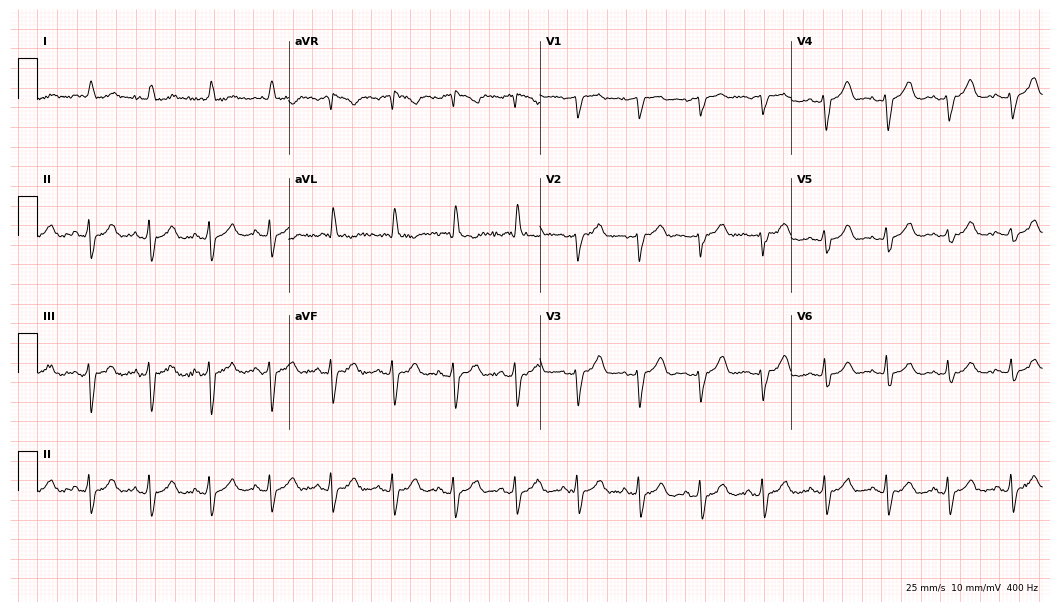
12-lead ECG from an 83-year-old female. Screened for six findings — first-degree AV block, right bundle branch block (RBBB), left bundle branch block (LBBB), sinus bradycardia, atrial fibrillation (AF), sinus tachycardia — none is recorded. Findings outside these six are not listed.